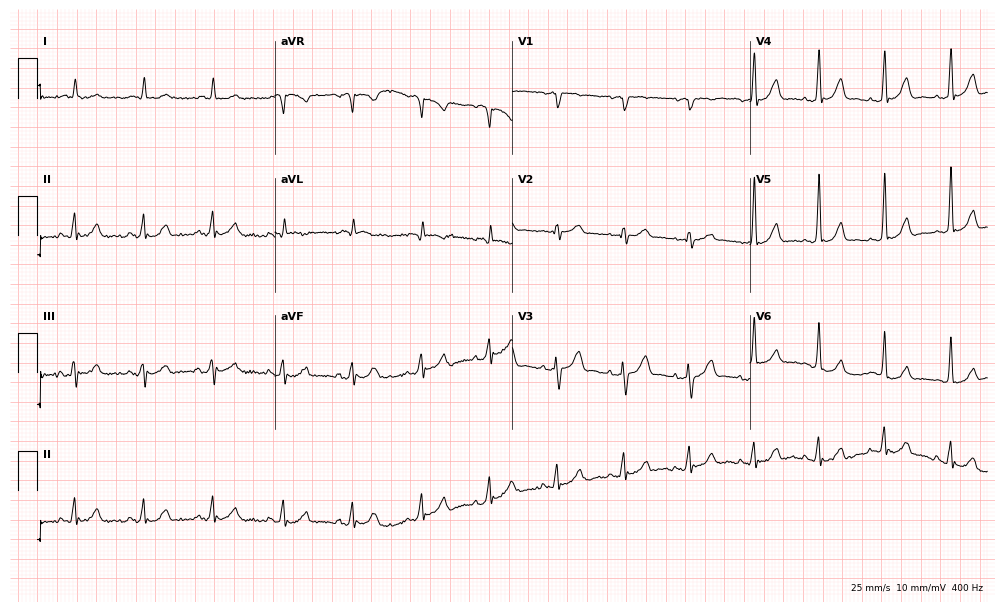
12-lead ECG (9.7-second recording at 400 Hz) from a male, 62 years old. Screened for six findings — first-degree AV block, right bundle branch block, left bundle branch block, sinus bradycardia, atrial fibrillation, sinus tachycardia — none is recorded.